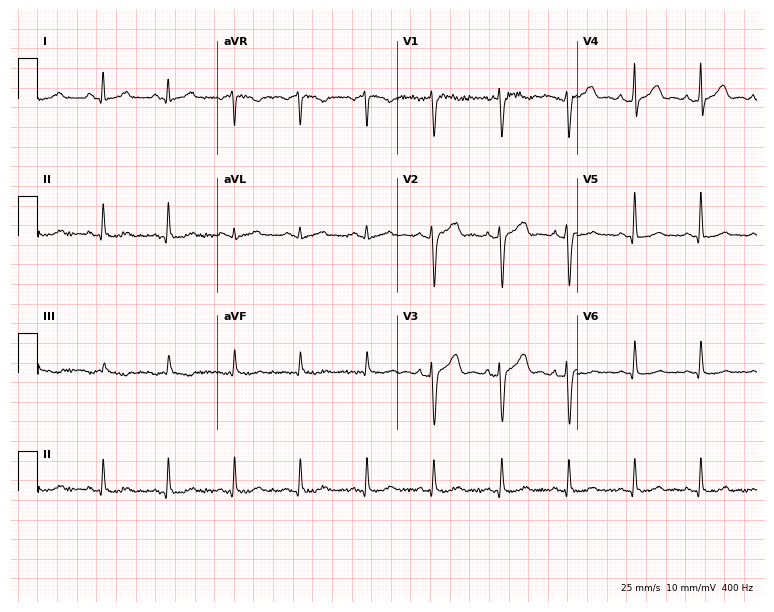
12-lead ECG (7.3-second recording at 400 Hz) from a male, 46 years old. Labelled as a normal ECG.